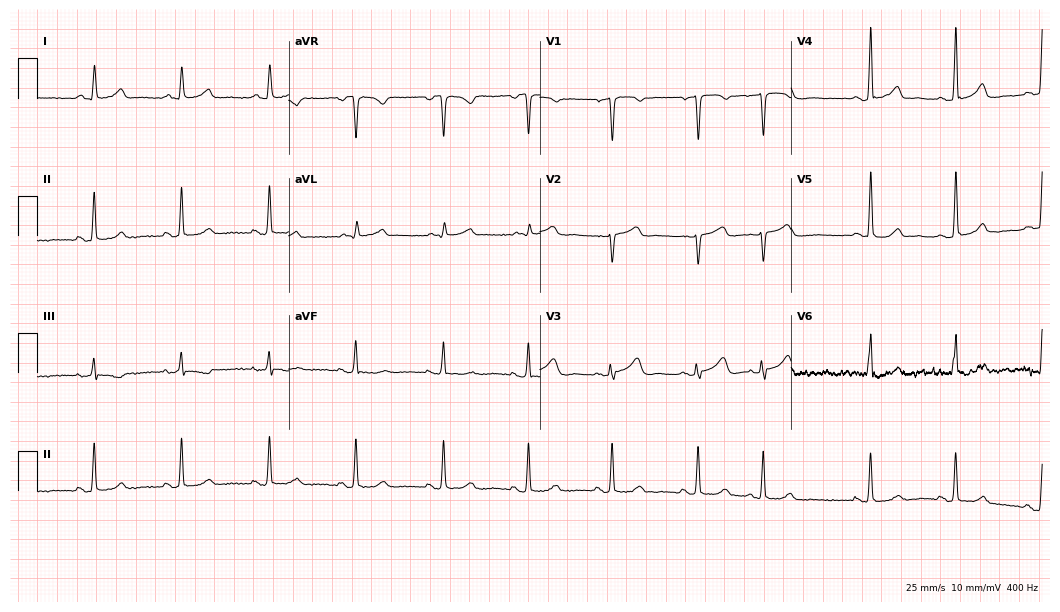
Electrocardiogram (10.2-second recording at 400 Hz), a 61-year-old woman. Overall reading on record: normal ECG.